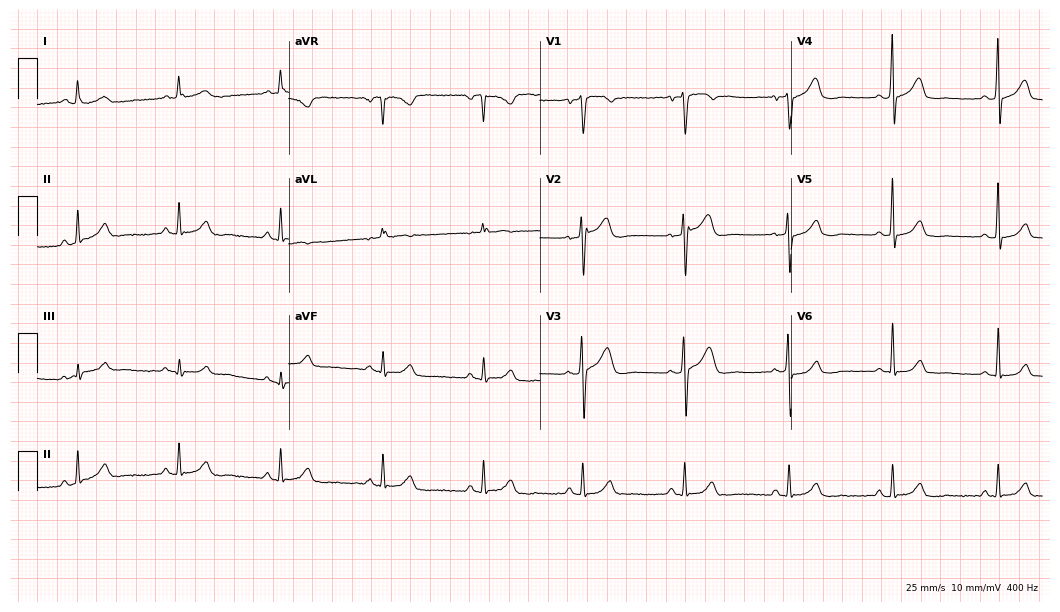
Standard 12-lead ECG recorded from a male, 55 years old (10.2-second recording at 400 Hz). None of these six findings is recorded: first-degree AV block, right bundle branch block, left bundle branch block, sinus bradycardia, atrial fibrillation, sinus tachycardia.